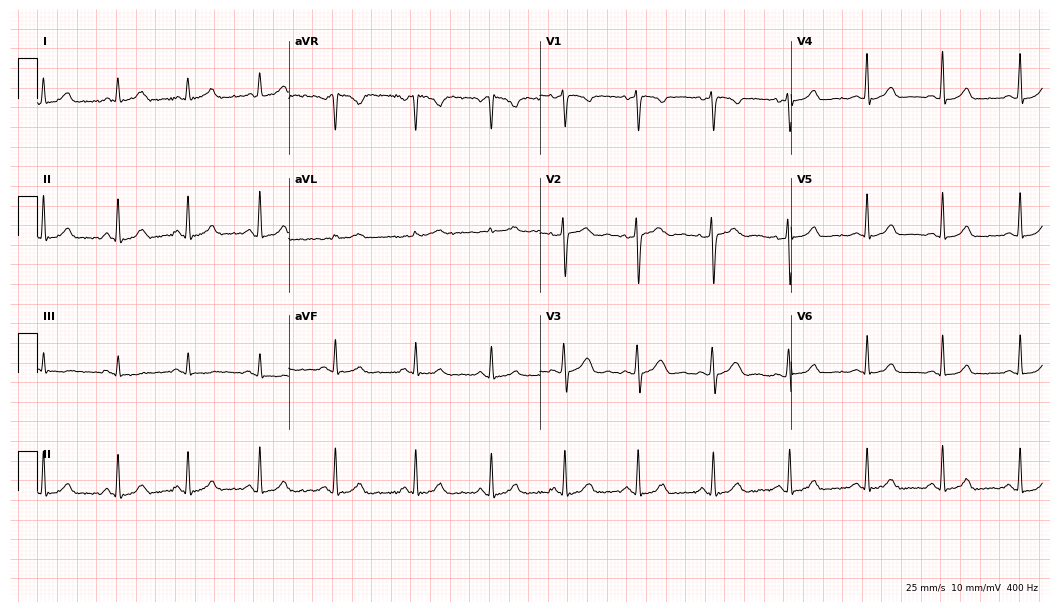
ECG (10.2-second recording at 400 Hz) — a female patient, 24 years old. Screened for six findings — first-degree AV block, right bundle branch block, left bundle branch block, sinus bradycardia, atrial fibrillation, sinus tachycardia — none is recorded. Only these six findings were labelled.